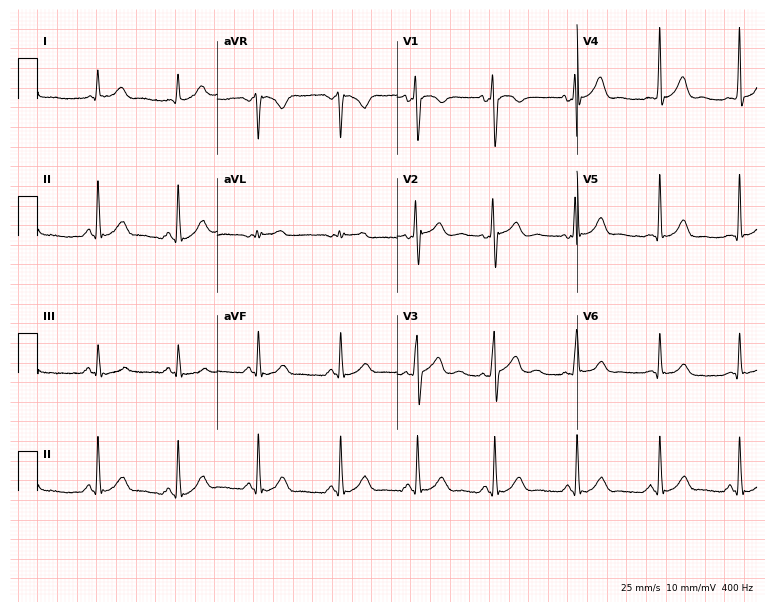
Standard 12-lead ECG recorded from a 24-year-old male. Read as a normal ECG.